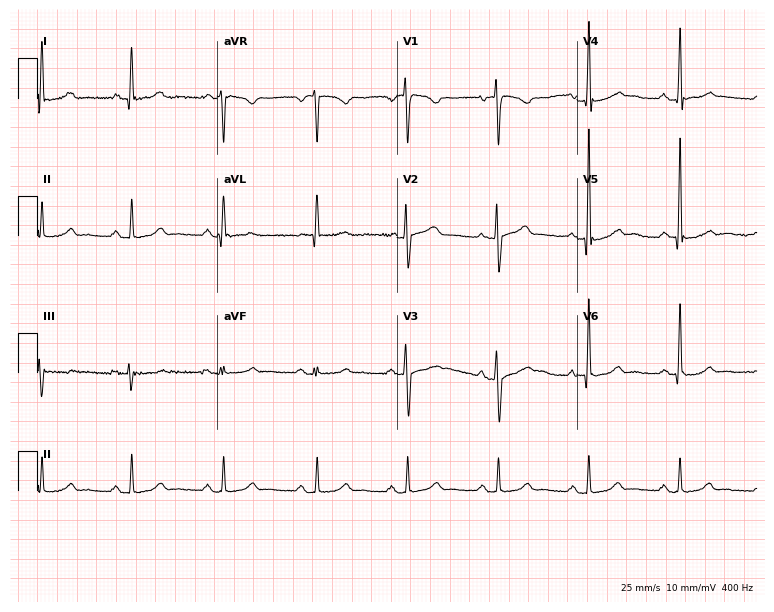
Resting 12-lead electrocardiogram. Patient: a 53-year-old male. Read as a normal ECG.